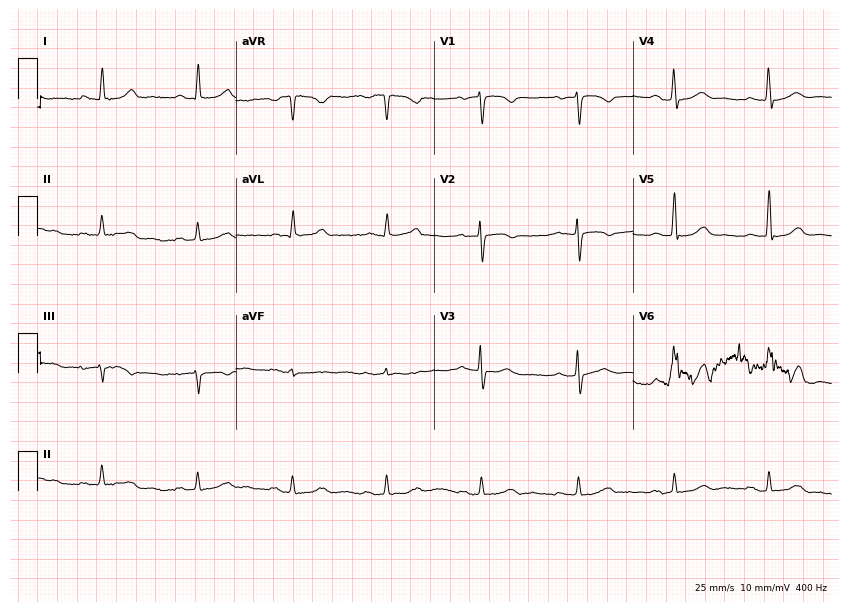
12-lead ECG (8.1-second recording at 400 Hz) from a 54-year-old woman. Labelled as a normal ECG.